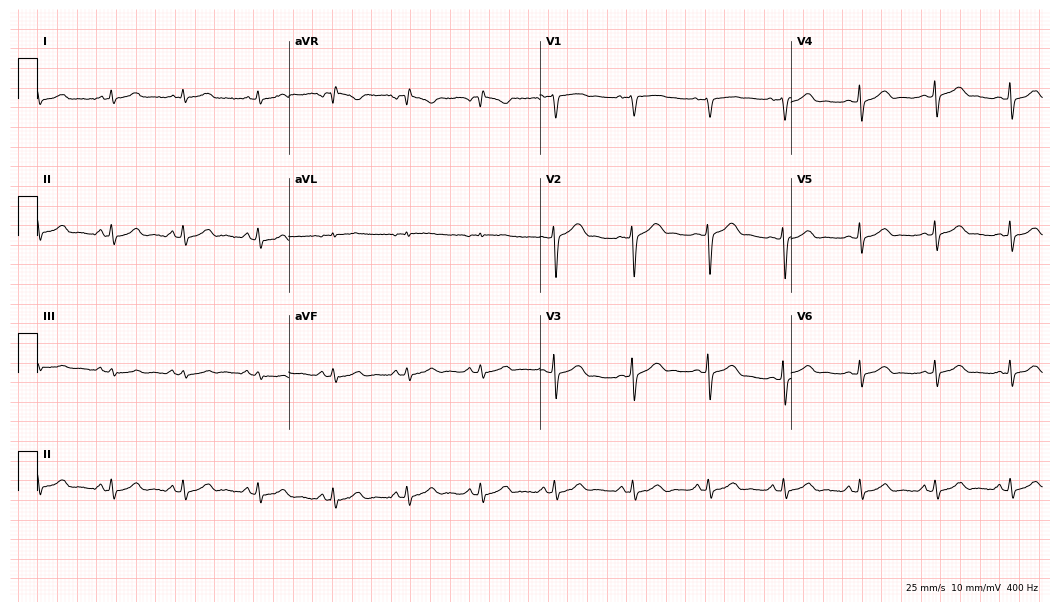
12-lead ECG from a 29-year-old female patient. Screened for six findings — first-degree AV block, right bundle branch block, left bundle branch block, sinus bradycardia, atrial fibrillation, sinus tachycardia — none is recorded.